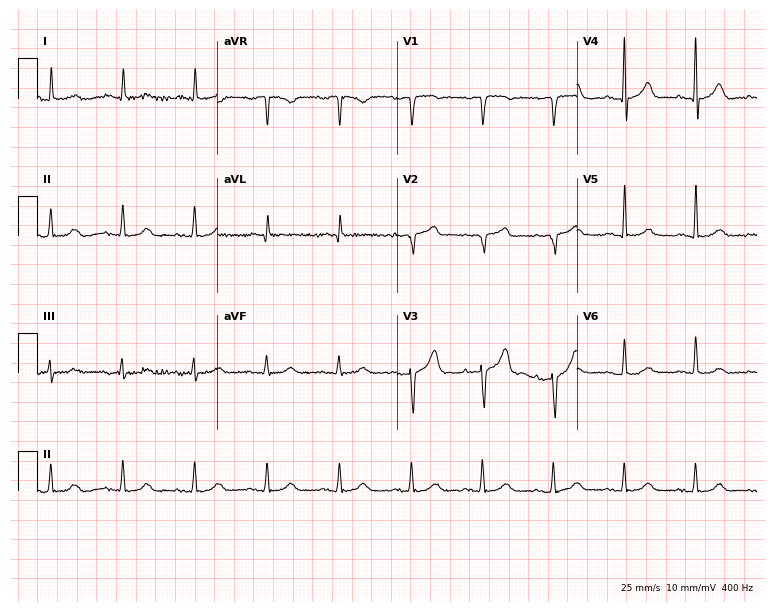
12-lead ECG from an 85-year-old man. Labelled as a normal ECG.